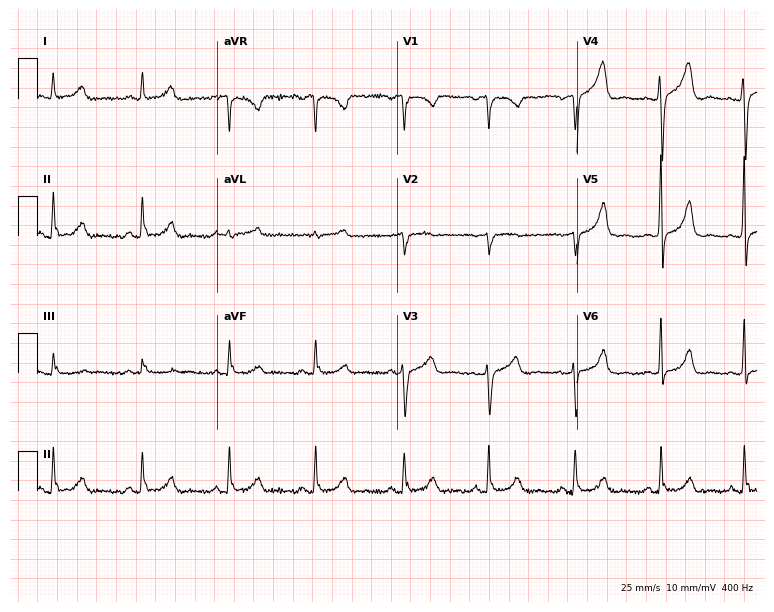
Electrocardiogram, a female, 34 years old. Overall reading on record: normal ECG.